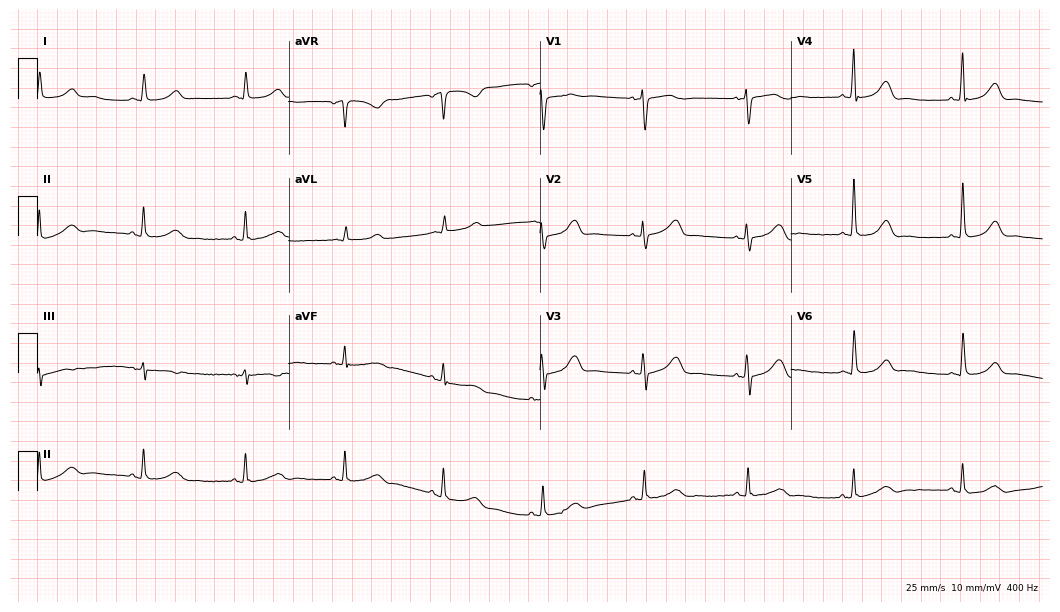
Standard 12-lead ECG recorded from a woman, 71 years old. Read as a normal ECG.